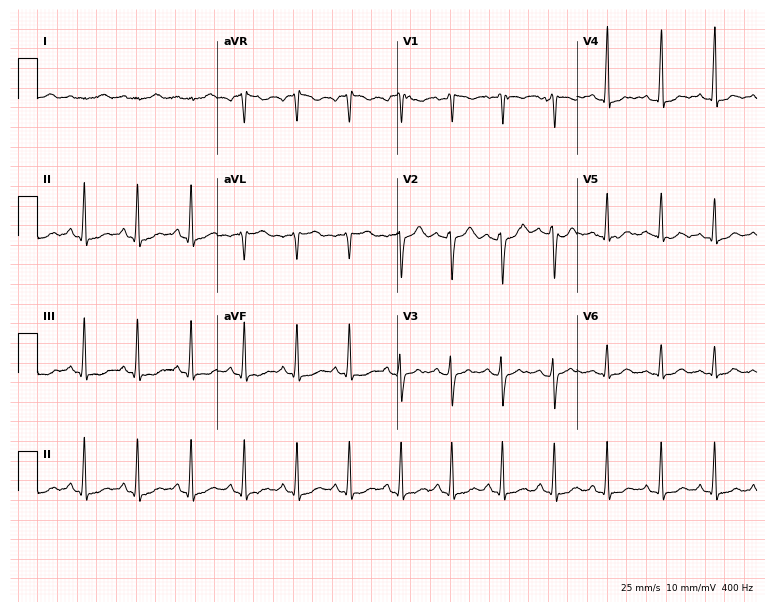
Standard 12-lead ECG recorded from a woman, 20 years old. The tracing shows sinus tachycardia (a sinus rate of 100 beats per minute or more).